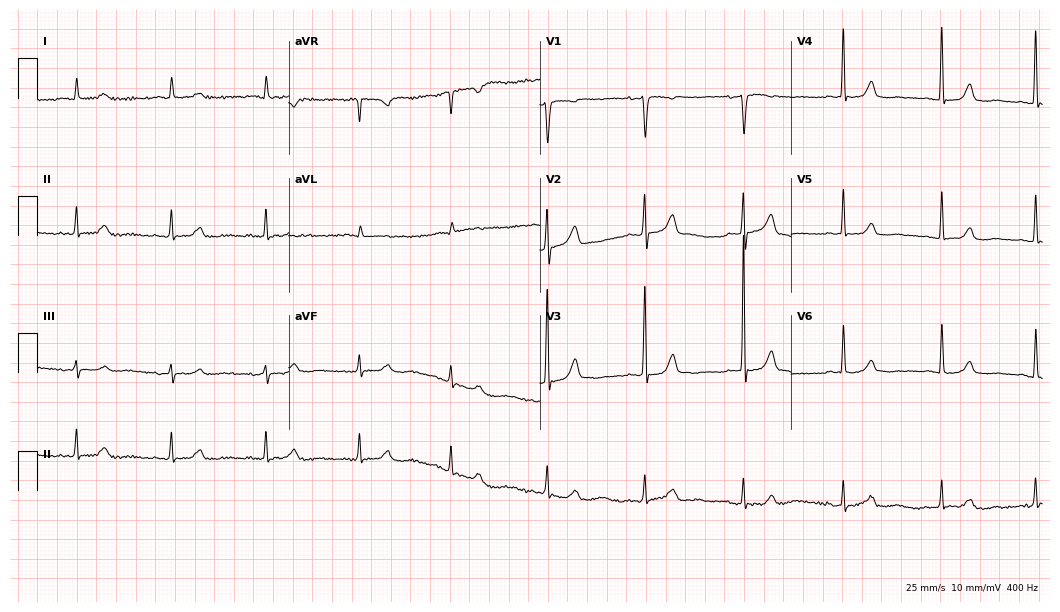
12-lead ECG from a woman, 84 years old (10.2-second recording at 400 Hz). Recorded interpretation: within normal limits.